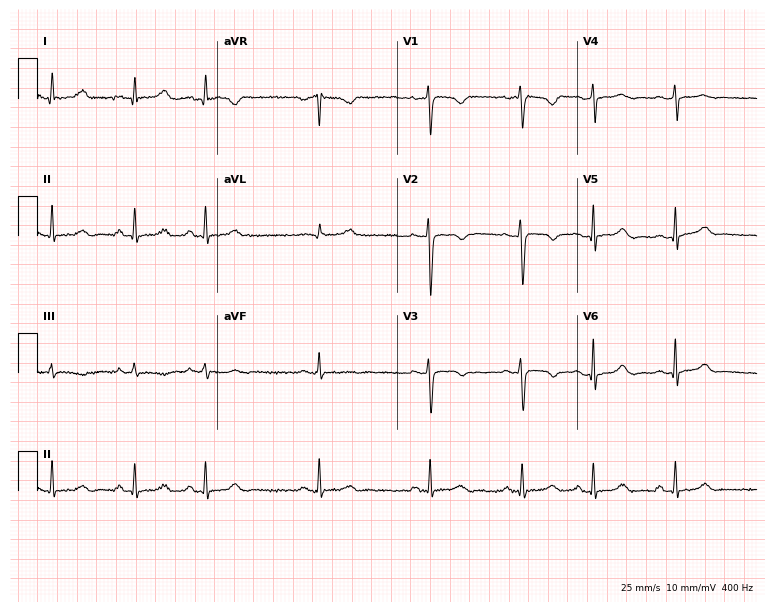
Resting 12-lead electrocardiogram (7.3-second recording at 400 Hz). Patient: a 26-year-old female. None of these six findings is recorded: first-degree AV block, right bundle branch block (RBBB), left bundle branch block (LBBB), sinus bradycardia, atrial fibrillation (AF), sinus tachycardia. Only these six findings were labelled.